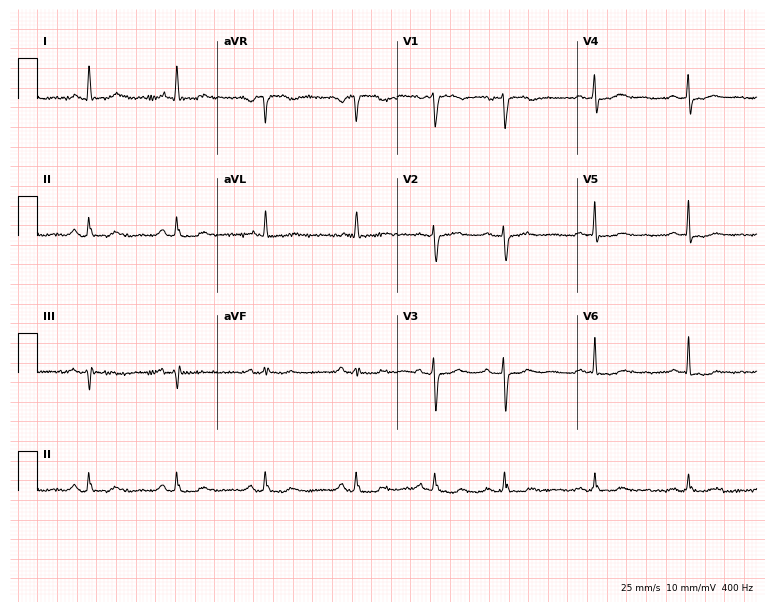
12-lead ECG from a female patient, 71 years old. Screened for six findings — first-degree AV block, right bundle branch block, left bundle branch block, sinus bradycardia, atrial fibrillation, sinus tachycardia — none is recorded.